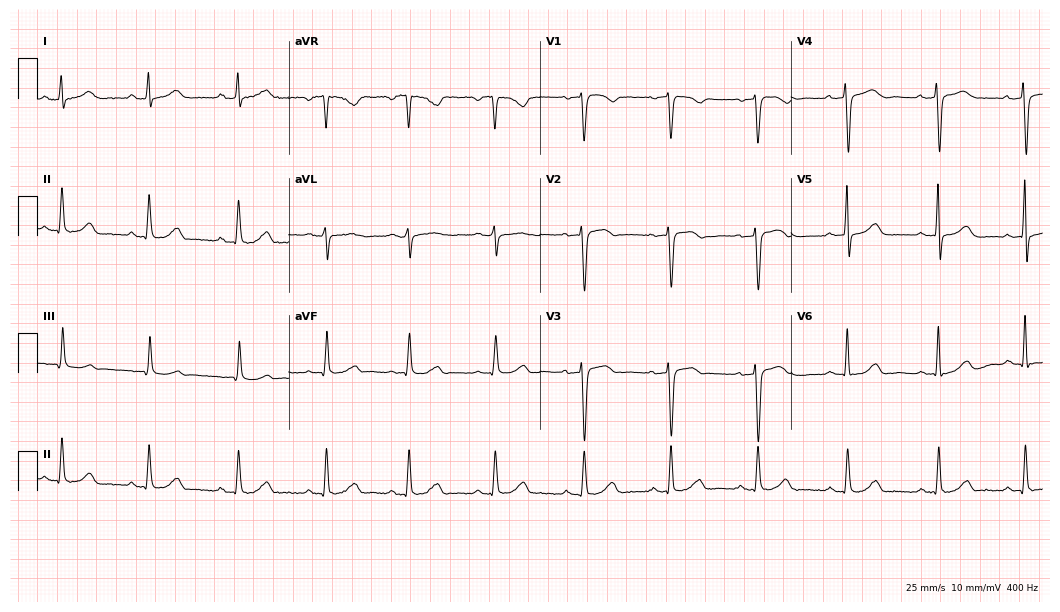
Electrocardiogram, a female, 46 years old. Overall reading on record: normal ECG.